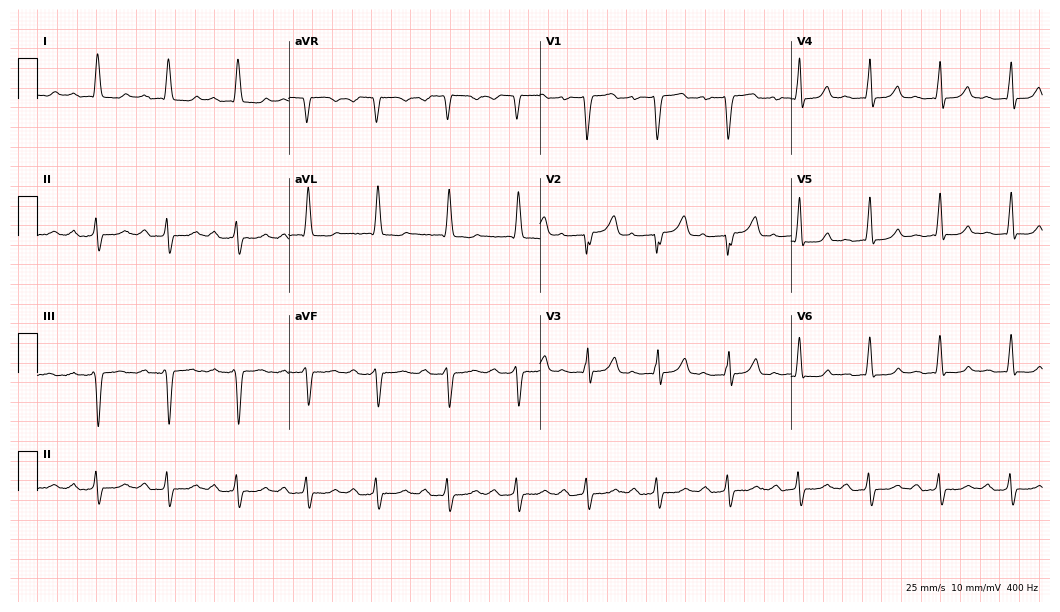
Electrocardiogram, a female, 79 years old. Interpretation includes first-degree AV block.